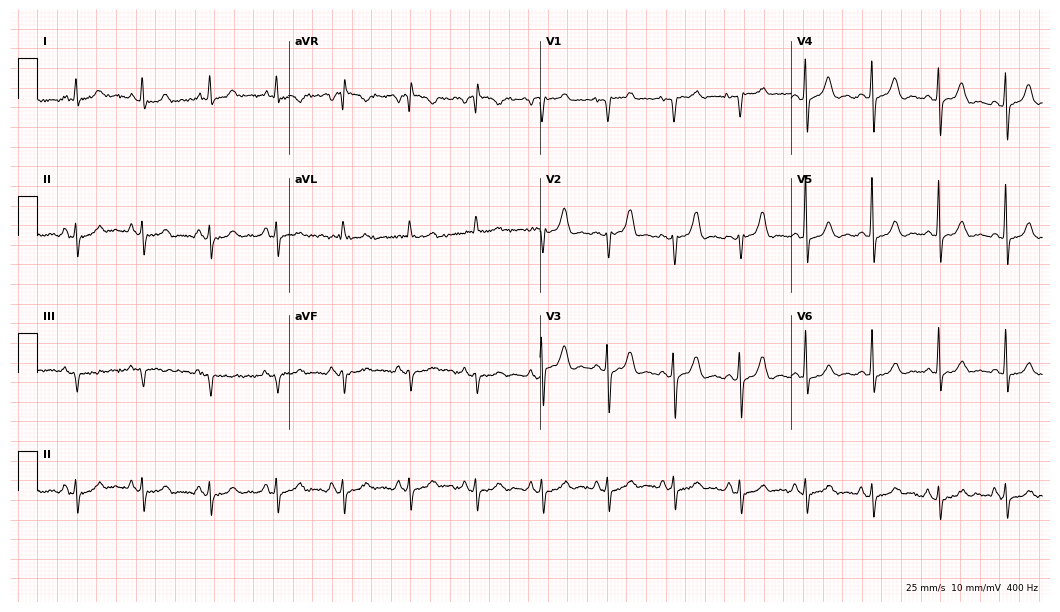
ECG (10.2-second recording at 400 Hz) — a female, 75 years old. Screened for six findings — first-degree AV block, right bundle branch block (RBBB), left bundle branch block (LBBB), sinus bradycardia, atrial fibrillation (AF), sinus tachycardia — none is recorded. Only these six findings were labelled.